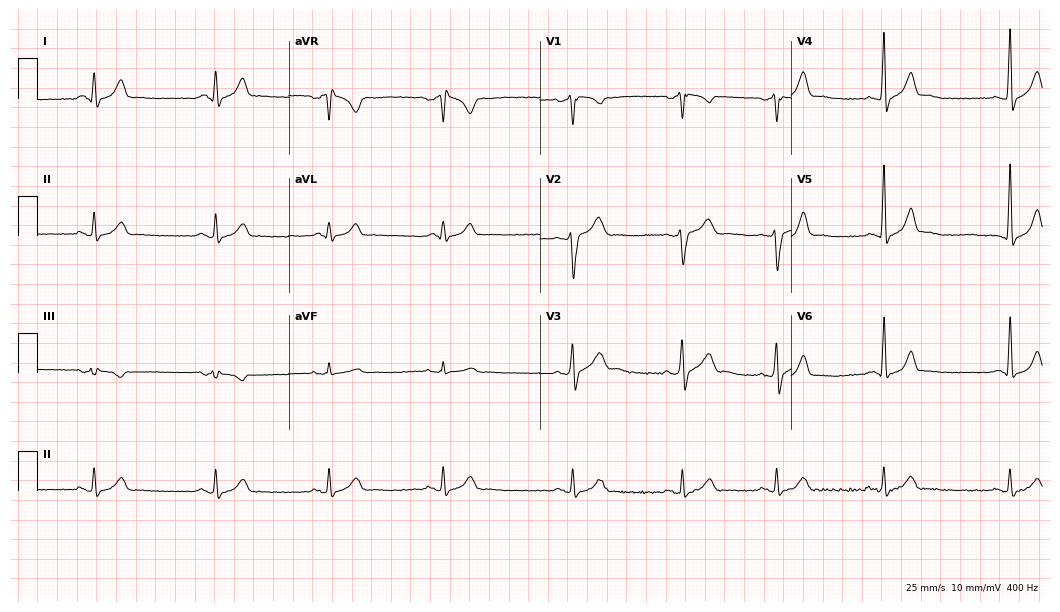
12-lead ECG from a male, 36 years old. No first-degree AV block, right bundle branch block, left bundle branch block, sinus bradycardia, atrial fibrillation or sinus tachycardia recorded for this tracing.